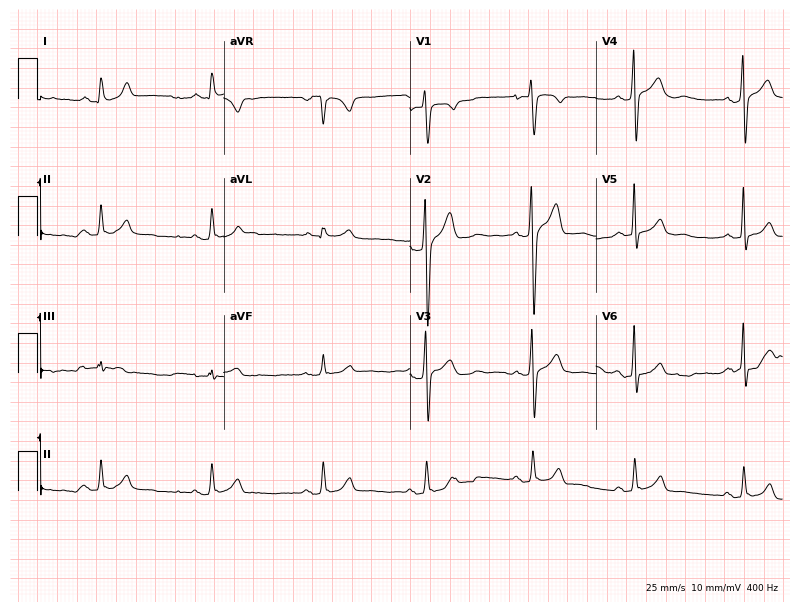
ECG (7.6-second recording at 400 Hz) — a 29-year-old male patient. Screened for six findings — first-degree AV block, right bundle branch block, left bundle branch block, sinus bradycardia, atrial fibrillation, sinus tachycardia — none is recorded.